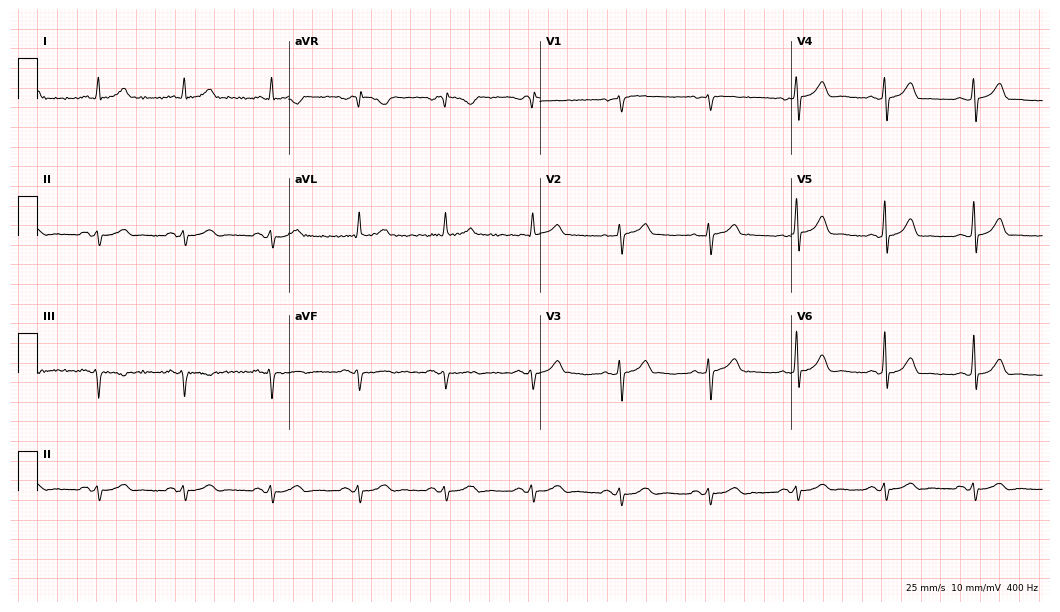
Electrocardiogram (10.2-second recording at 400 Hz), a 72-year-old male patient. Of the six screened findings (first-degree AV block, right bundle branch block, left bundle branch block, sinus bradycardia, atrial fibrillation, sinus tachycardia), none is recorded.